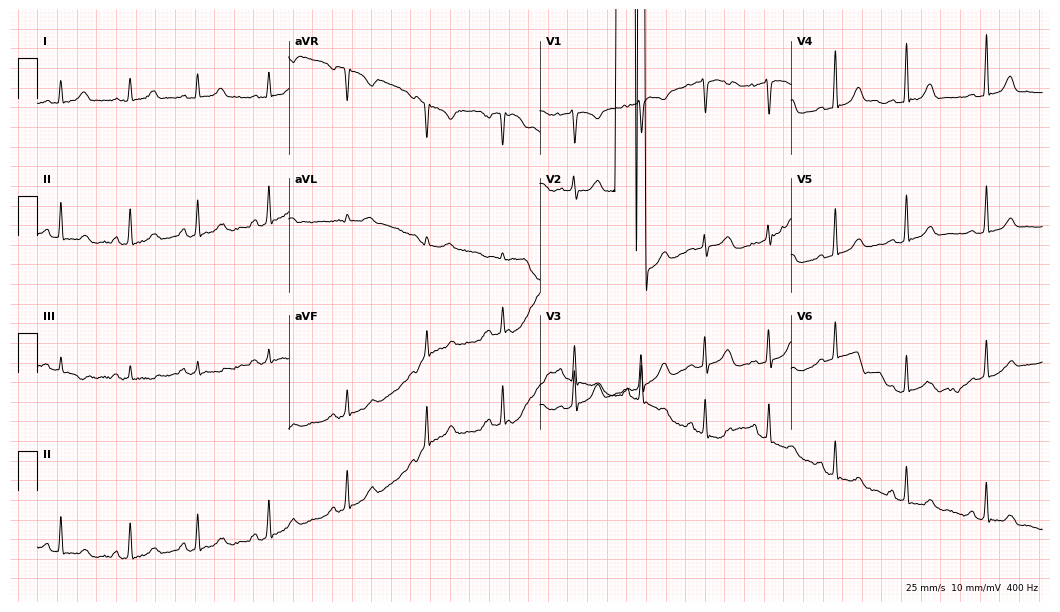
Standard 12-lead ECG recorded from a 21-year-old female patient. None of these six findings is recorded: first-degree AV block, right bundle branch block, left bundle branch block, sinus bradycardia, atrial fibrillation, sinus tachycardia. Findings outside these six are not listed.